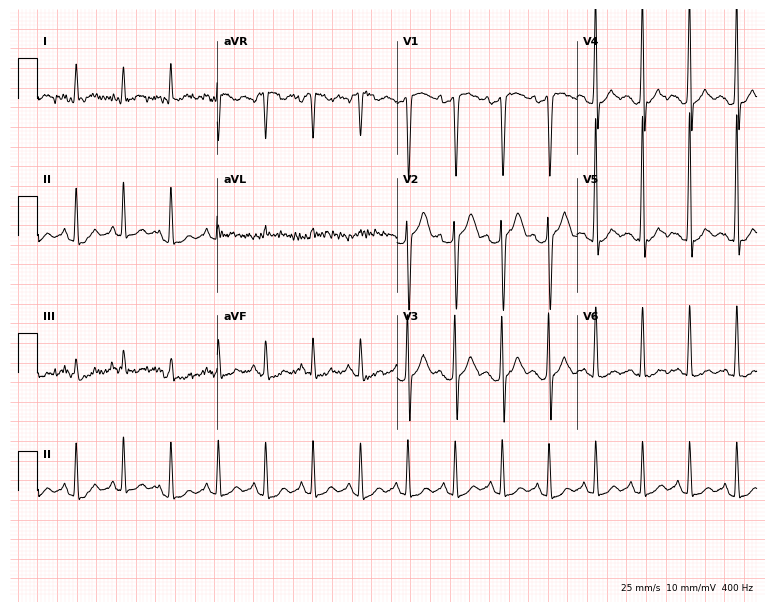
Resting 12-lead electrocardiogram. Patient: a male, 34 years old. The tracing shows sinus tachycardia (a sinus rate of 100 beats per minute or more).